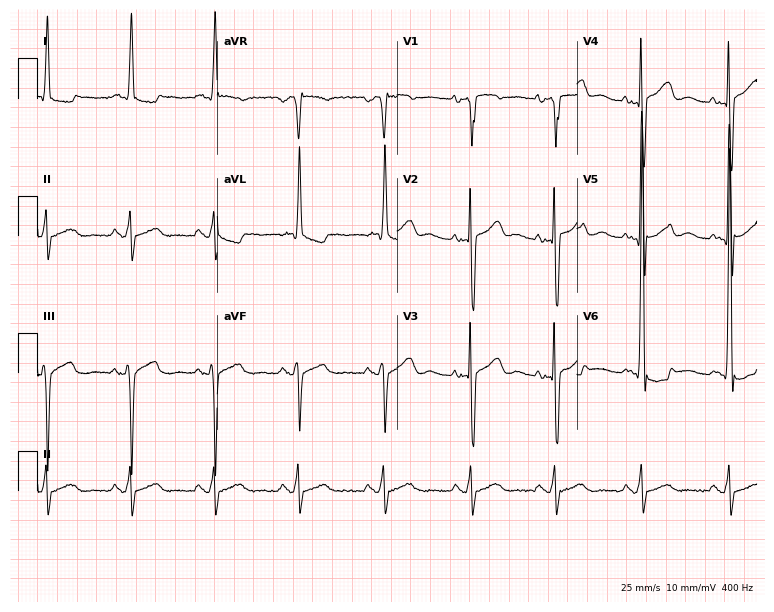
12-lead ECG from an 84-year-old female (7.3-second recording at 400 Hz). No first-degree AV block, right bundle branch block, left bundle branch block, sinus bradycardia, atrial fibrillation or sinus tachycardia recorded for this tracing.